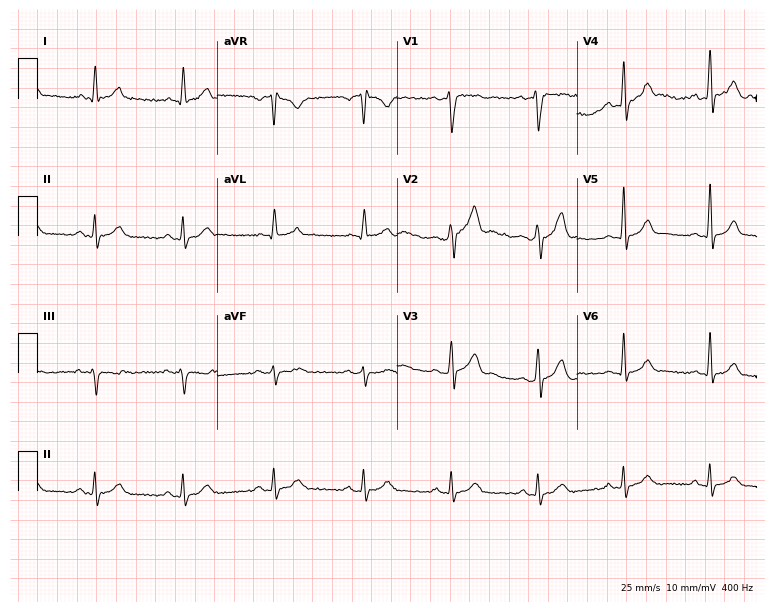
Standard 12-lead ECG recorded from a male patient, 31 years old. None of these six findings is recorded: first-degree AV block, right bundle branch block (RBBB), left bundle branch block (LBBB), sinus bradycardia, atrial fibrillation (AF), sinus tachycardia.